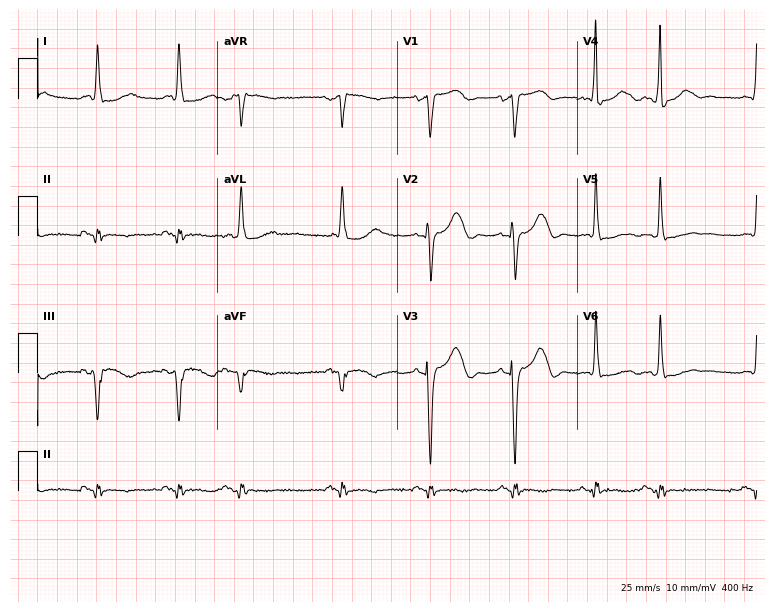
12-lead ECG from an 81-year-old woman. No first-degree AV block, right bundle branch block, left bundle branch block, sinus bradycardia, atrial fibrillation or sinus tachycardia recorded for this tracing.